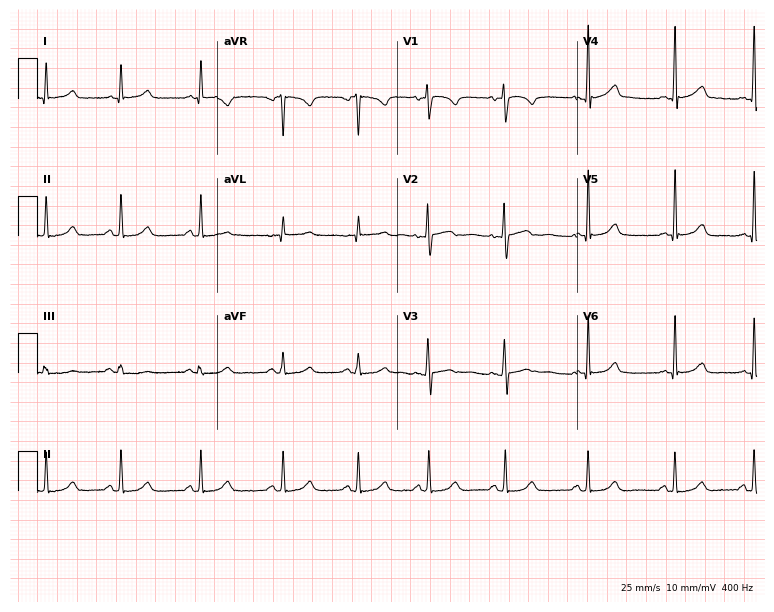
ECG — a 49-year-old female. Labelled as a normal ECG.